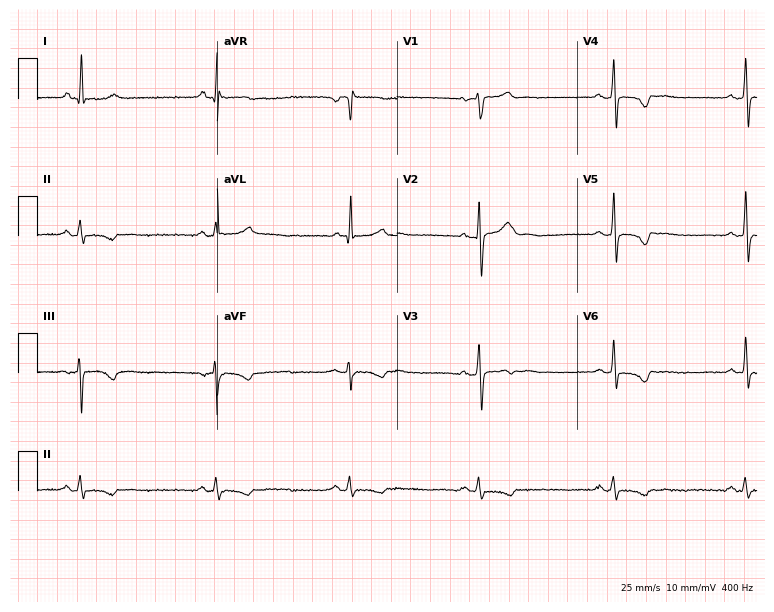
Electrocardiogram (7.3-second recording at 400 Hz), a 43-year-old male patient. Interpretation includes sinus bradycardia (a sinus rate of 50 beats per minute or less).